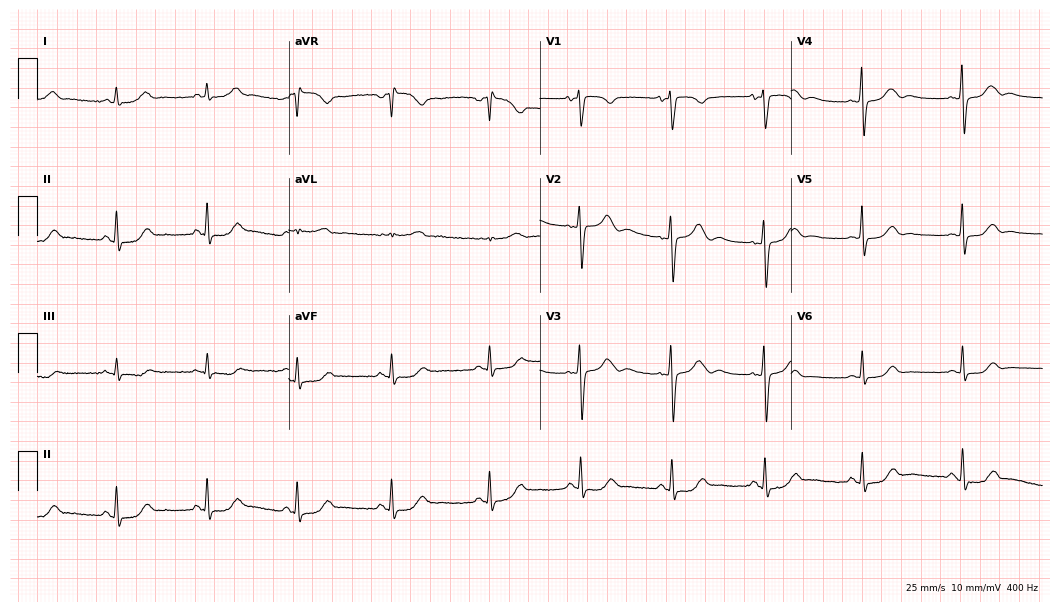
Standard 12-lead ECG recorded from a 48-year-old woman. None of these six findings is recorded: first-degree AV block, right bundle branch block (RBBB), left bundle branch block (LBBB), sinus bradycardia, atrial fibrillation (AF), sinus tachycardia. Other findings, if any, are not listed.